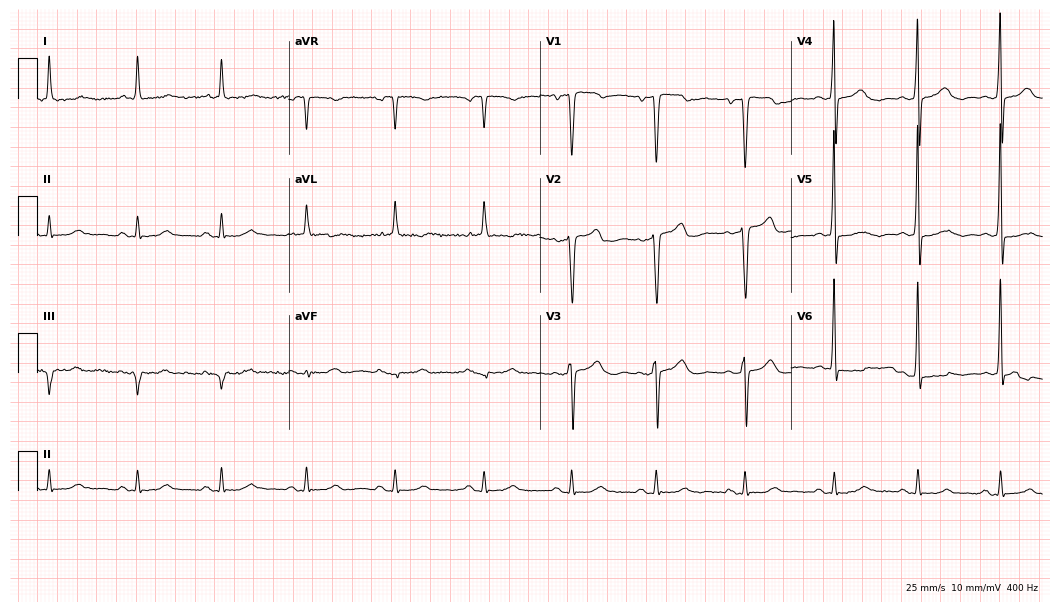
Resting 12-lead electrocardiogram (10.2-second recording at 400 Hz). Patient: a 70-year-old woman. Read as a normal ECG.